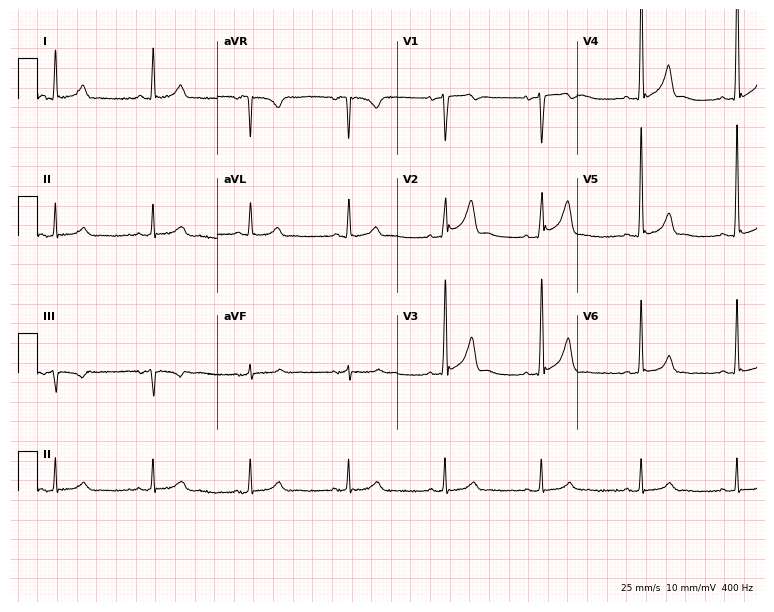
12-lead ECG from a male, 73 years old. Screened for six findings — first-degree AV block, right bundle branch block, left bundle branch block, sinus bradycardia, atrial fibrillation, sinus tachycardia — none is recorded.